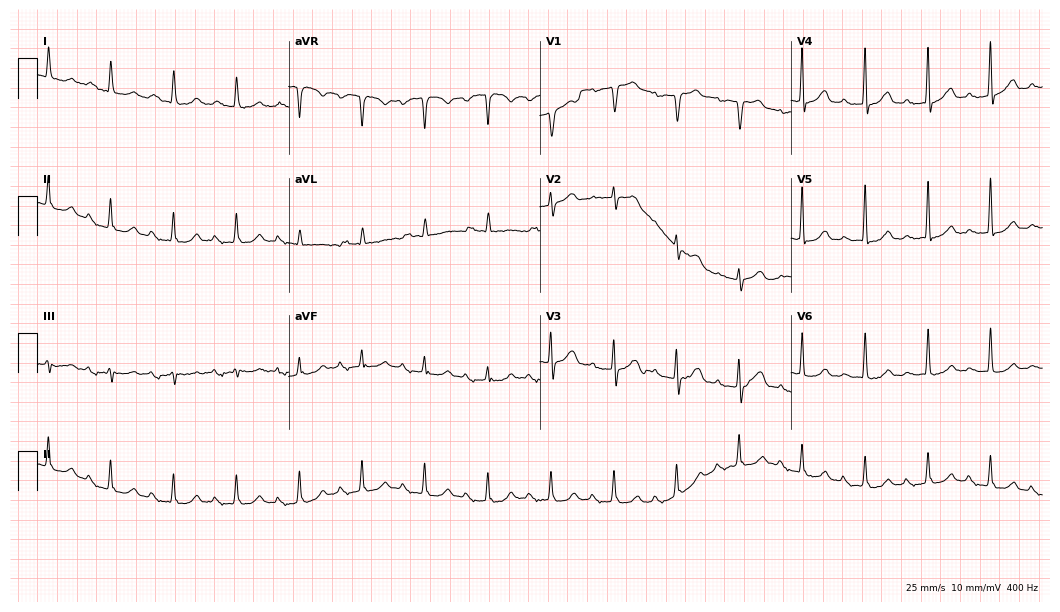
Electrocardiogram, an 84-year-old man. Interpretation includes first-degree AV block.